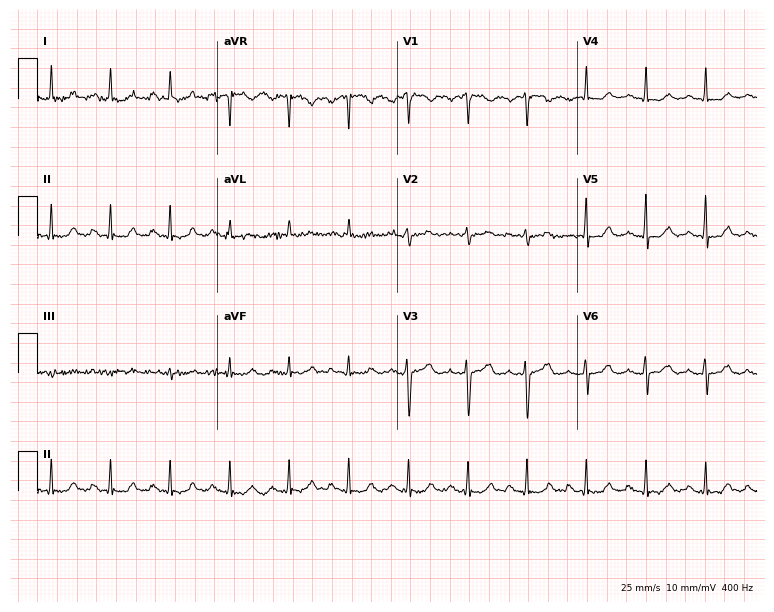
Standard 12-lead ECG recorded from a 39-year-old female patient. None of these six findings is recorded: first-degree AV block, right bundle branch block, left bundle branch block, sinus bradycardia, atrial fibrillation, sinus tachycardia. Only these six findings were labelled.